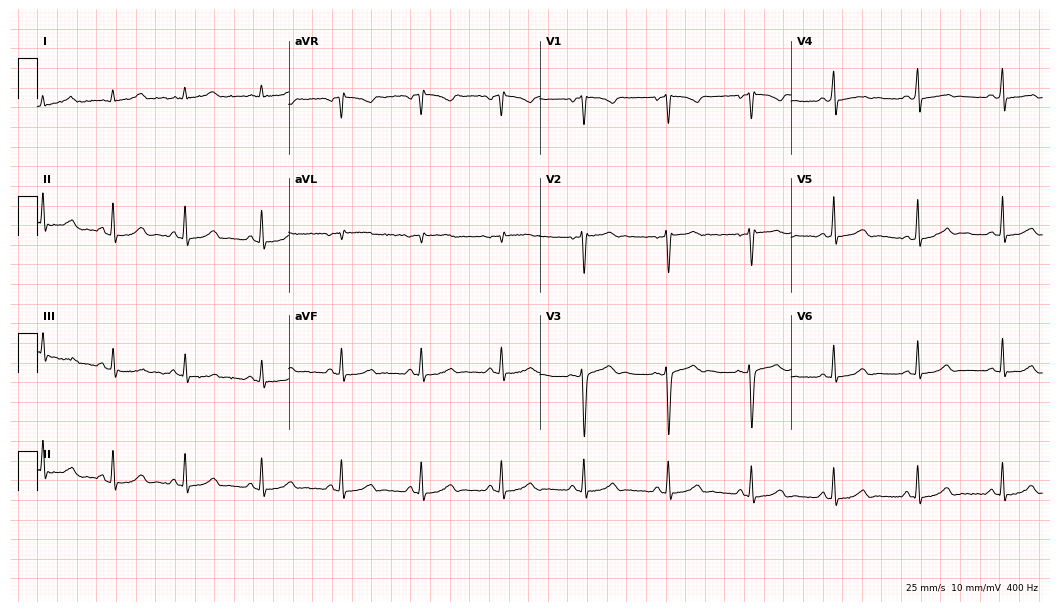
Electrocardiogram (10.2-second recording at 400 Hz), a woman, 43 years old. Overall reading on record: normal ECG.